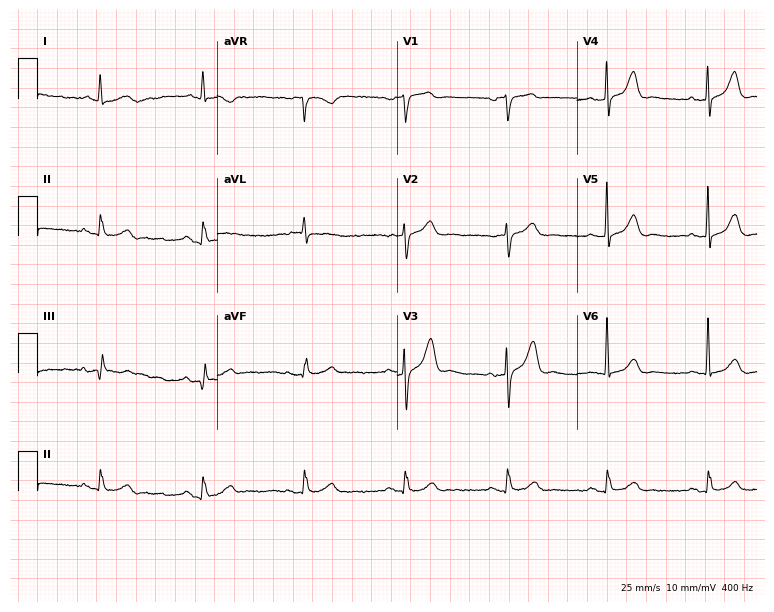
Electrocardiogram (7.3-second recording at 400 Hz), an 83-year-old male patient. Overall reading on record: normal ECG.